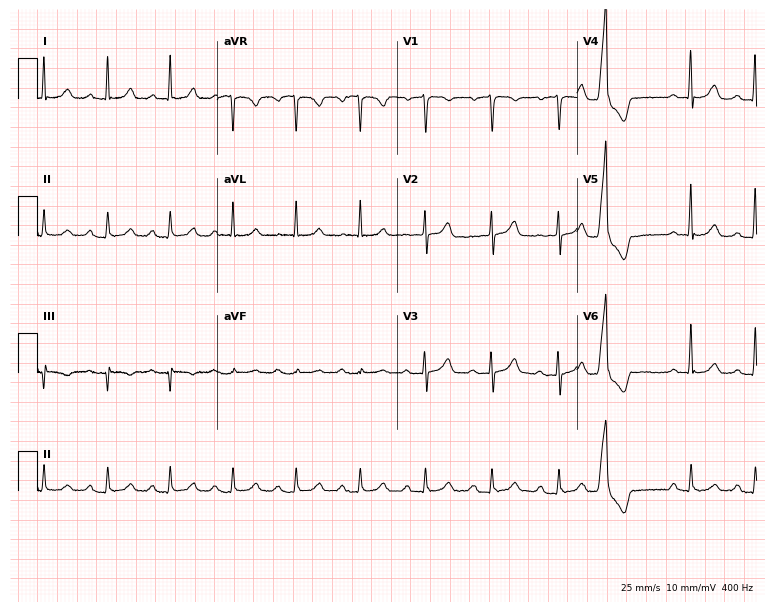
ECG — a female patient, 52 years old. Findings include first-degree AV block.